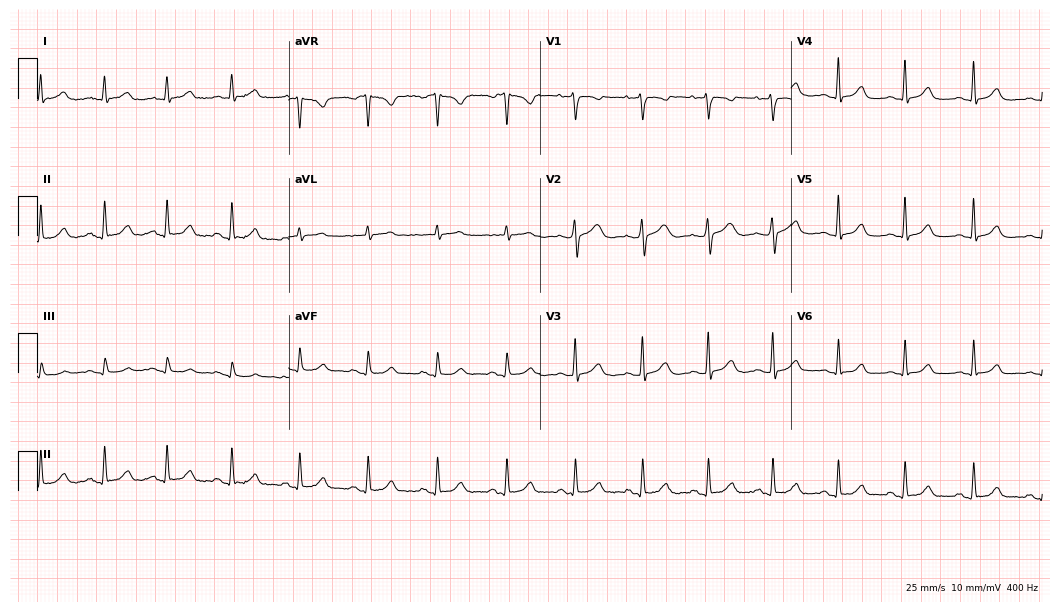
Electrocardiogram (10.2-second recording at 400 Hz), a 34-year-old woman. Overall reading on record: normal ECG.